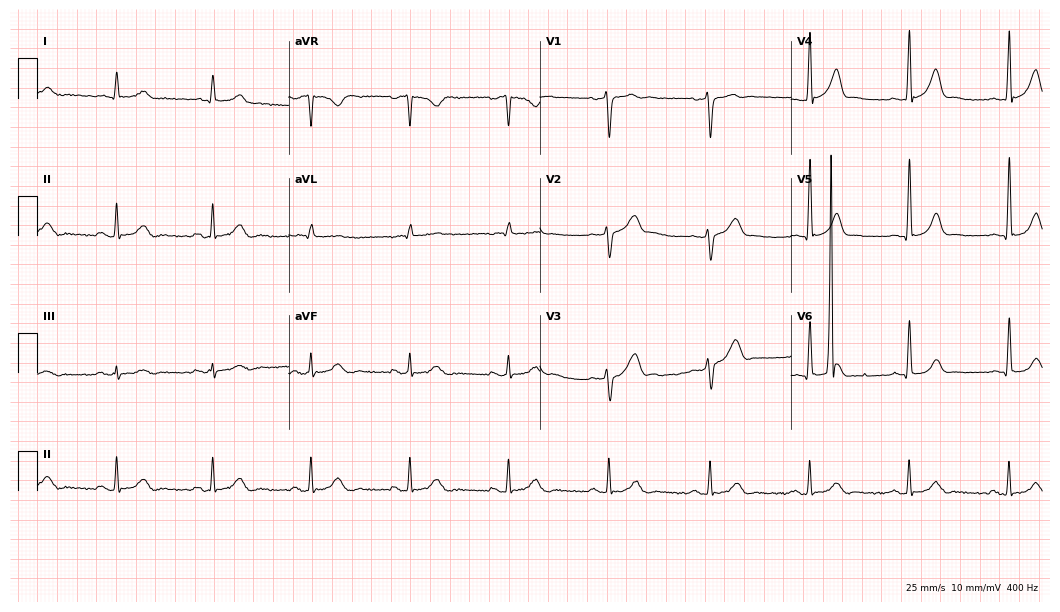
12-lead ECG from a 54-year-old man. Recorded interpretation: within normal limits.